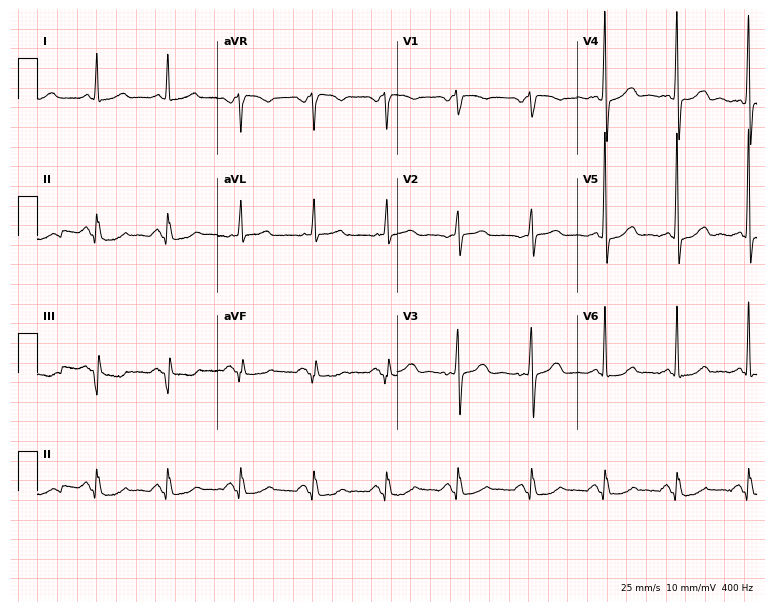
12-lead ECG from a 60-year-old female patient (7.3-second recording at 400 Hz). No first-degree AV block, right bundle branch block, left bundle branch block, sinus bradycardia, atrial fibrillation or sinus tachycardia recorded for this tracing. Only these six findings were labelled.